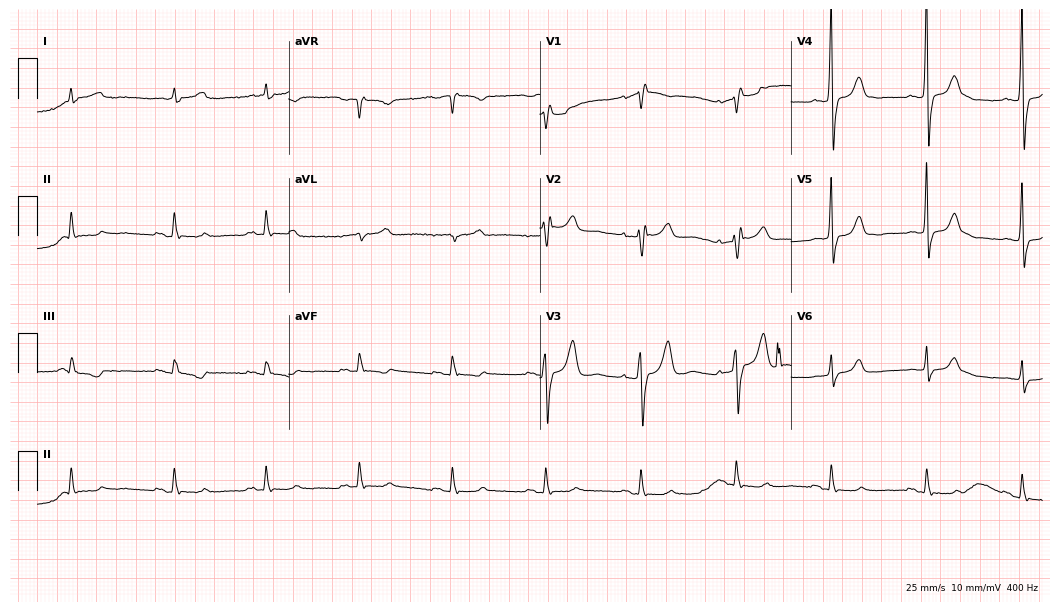
12-lead ECG from a 70-year-old man. Screened for six findings — first-degree AV block, right bundle branch block (RBBB), left bundle branch block (LBBB), sinus bradycardia, atrial fibrillation (AF), sinus tachycardia — none is recorded. Only these six findings were labelled.